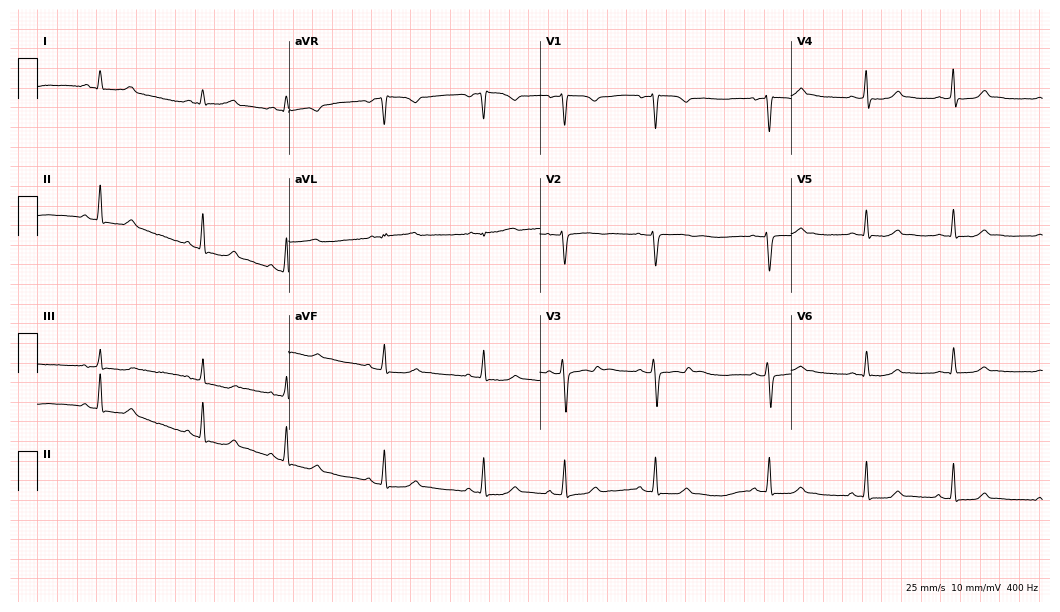
12-lead ECG from a female patient, 31 years old. Labelled as a normal ECG.